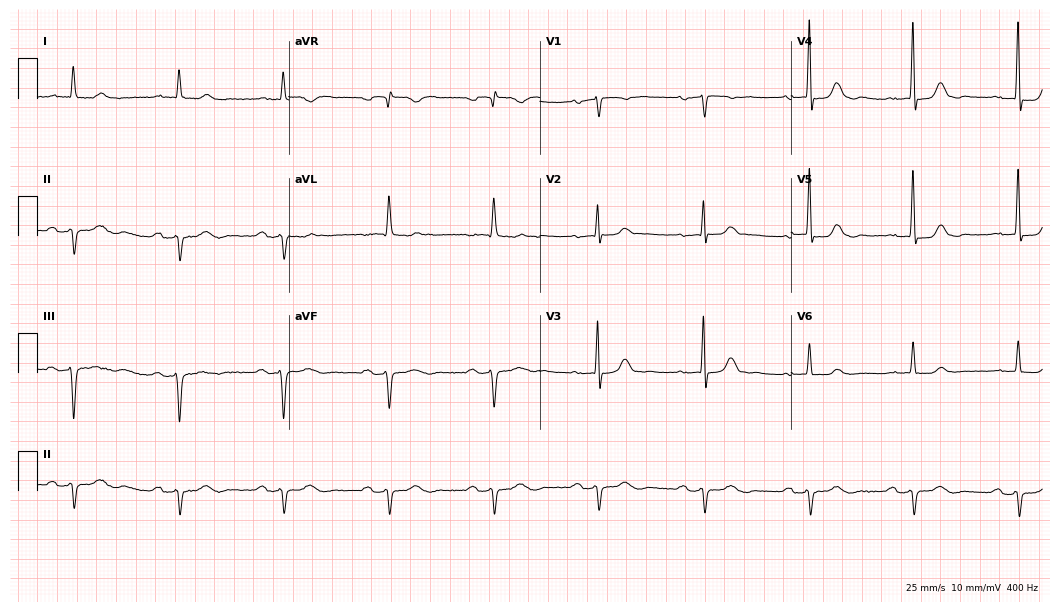
Resting 12-lead electrocardiogram (10.2-second recording at 400 Hz). Patient: an 84-year-old man. None of these six findings is recorded: first-degree AV block, right bundle branch block, left bundle branch block, sinus bradycardia, atrial fibrillation, sinus tachycardia.